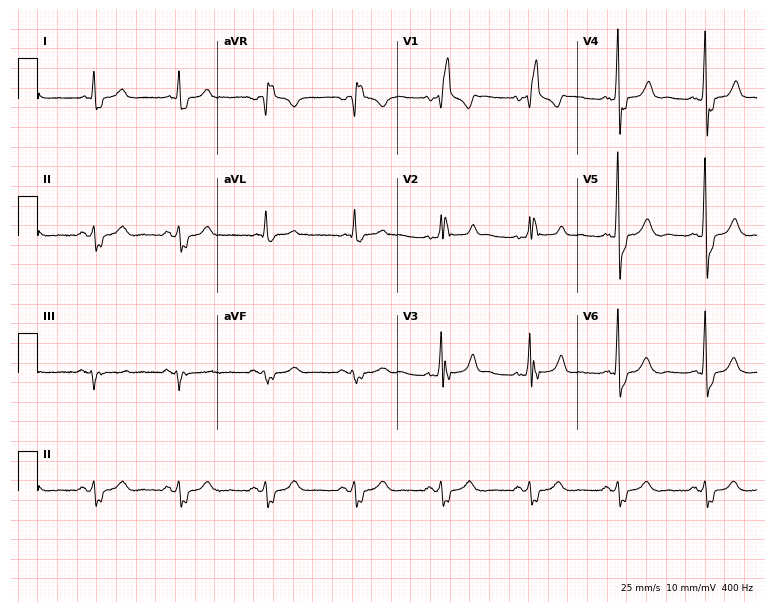
12-lead ECG from a 66-year-old male (7.3-second recording at 400 Hz). No first-degree AV block, right bundle branch block, left bundle branch block, sinus bradycardia, atrial fibrillation or sinus tachycardia recorded for this tracing.